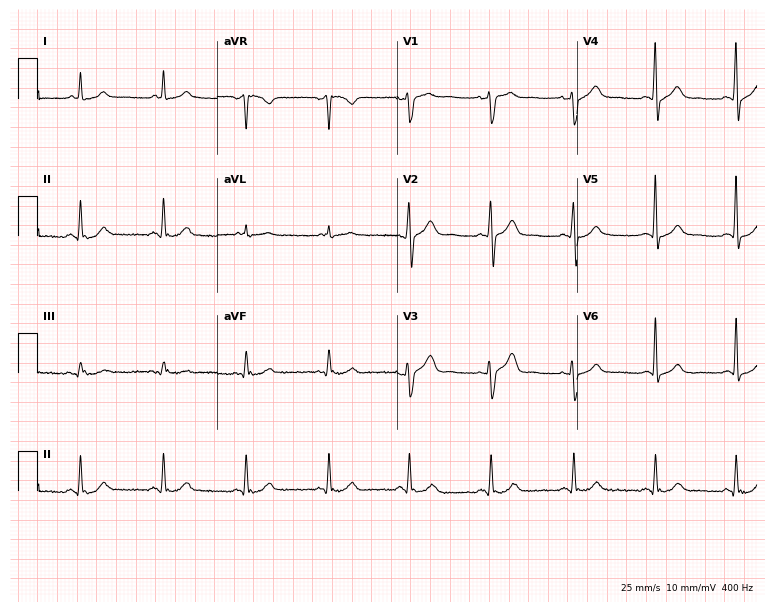
ECG (7.3-second recording at 400 Hz) — a male patient, 42 years old. Screened for six findings — first-degree AV block, right bundle branch block (RBBB), left bundle branch block (LBBB), sinus bradycardia, atrial fibrillation (AF), sinus tachycardia — none is recorded. Only these six findings were labelled.